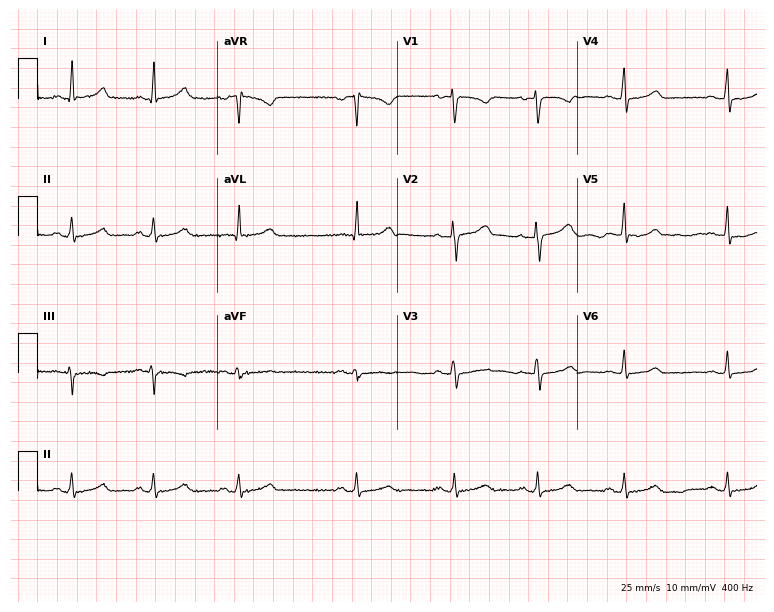
Standard 12-lead ECG recorded from a woman, 27 years old. Read as a normal ECG.